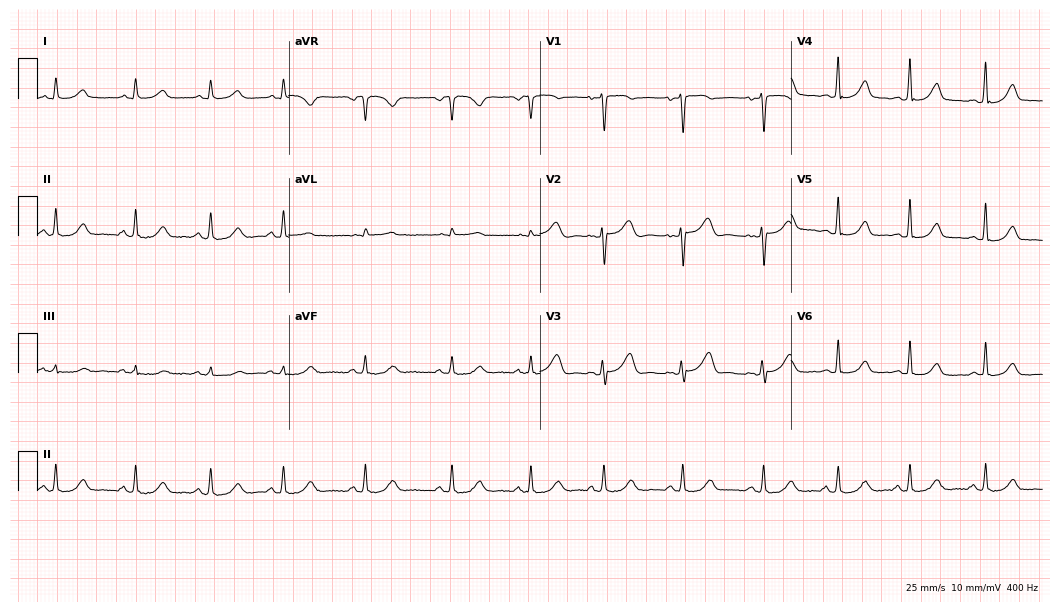
Standard 12-lead ECG recorded from a woman, 37 years old (10.2-second recording at 400 Hz). Read as a normal ECG.